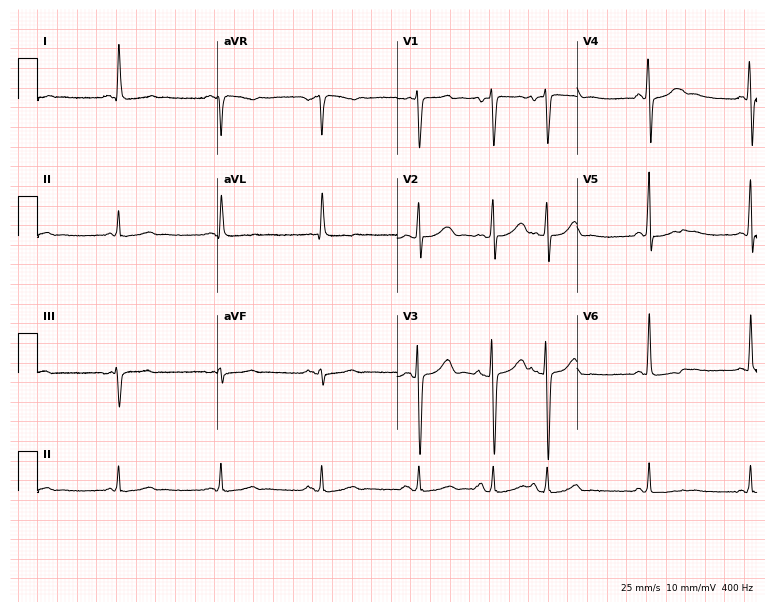
12-lead ECG (7.3-second recording at 400 Hz) from a 66-year-old male. Screened for six findings — first-degree AV block, right bundle branch block (RBBB), left bundle branch block (LBBB), sinus bradycardia, atrial fibrillation (AF), sinus tachycardia — none is recorded.